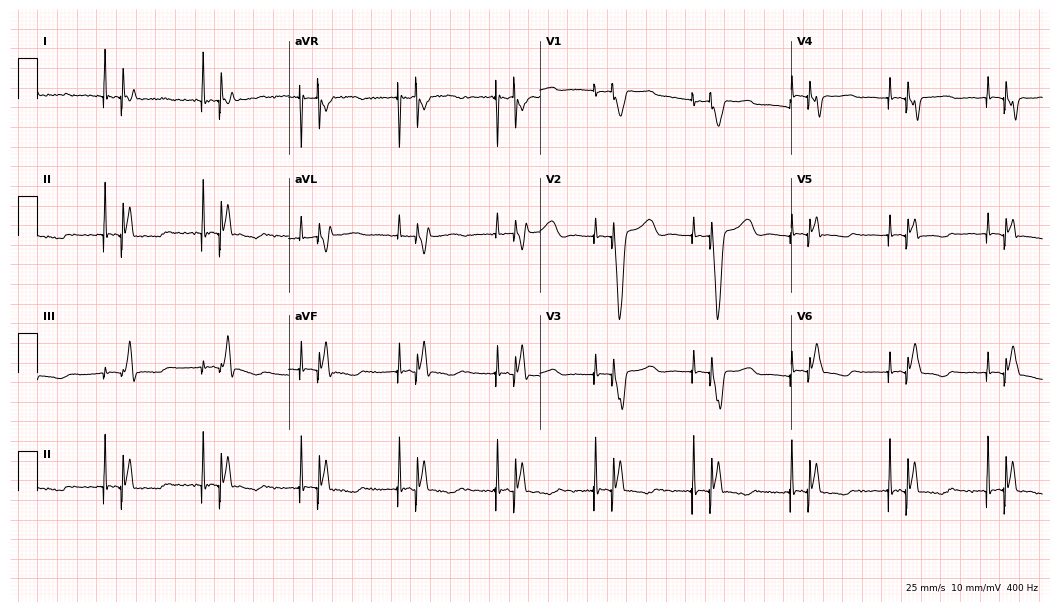
Resting 12-lead electrocardiogram (10.2-second recording at 400 Hz). Patient: a 77-year-old female. None of these six findings is recorded: first-degree AV block, right bundle branch block, left bundle branch block, sinus bradycardia, atrial fibrillation, sinus tachycardia.